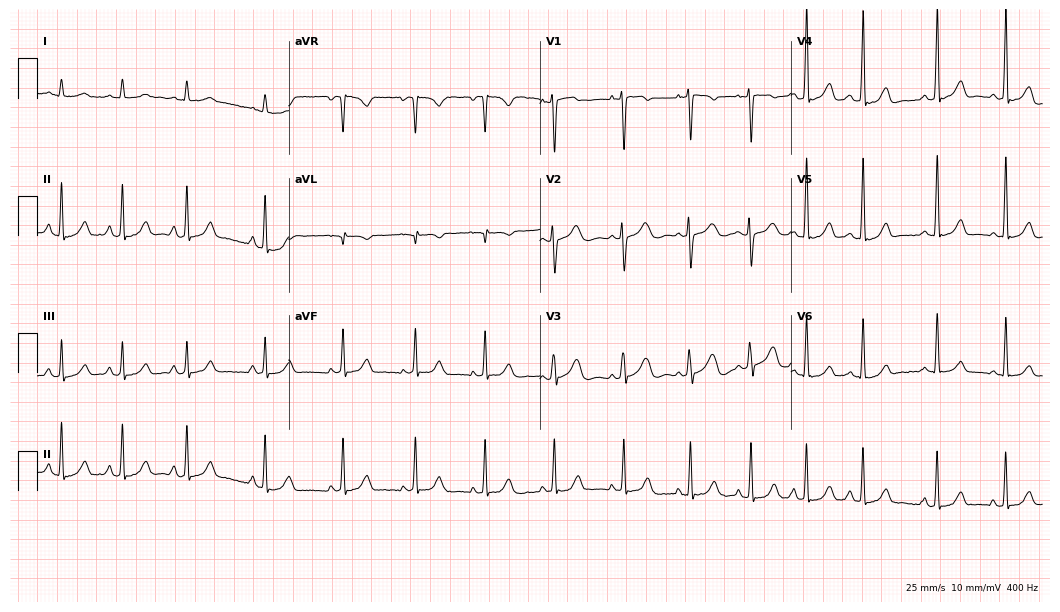
Electrocardiogram (10.2-second recording at 400 Hz), a 17-year-old female patient. Overall reading on record: normal ECG.